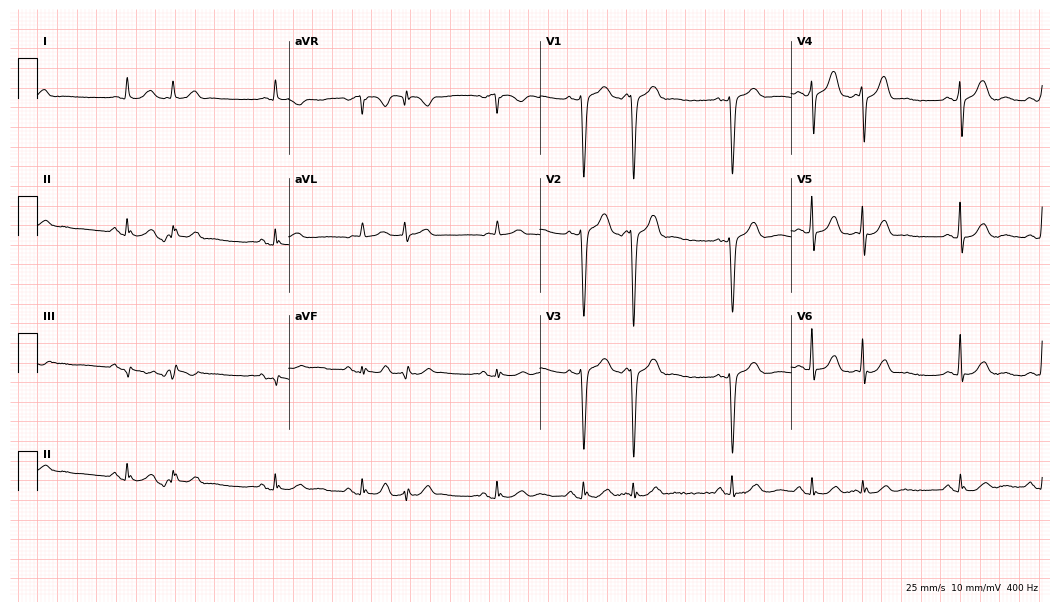
ECG — a male, 77 years old. Screened for six findings — first-degree AV block, right bundle branch block, left bundle branch block, sinus bradycardia, atrial fibrillation, sinus tachycardia — none is recorded.